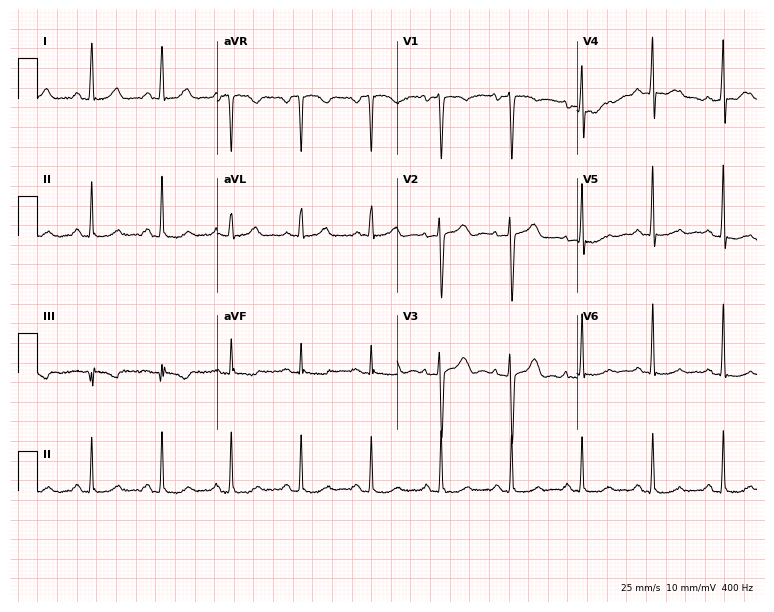
Standard 12-lead ECG recorded from a 57-year-old female (7.3-second recording at 400 Hz). None of these six findings is recorded: first-degree AV block, right bundle branch block, left bundle branch block, sinus bradycardia, atrial fibrillation, sinus tachycardia. Findings outside these six are not listed.